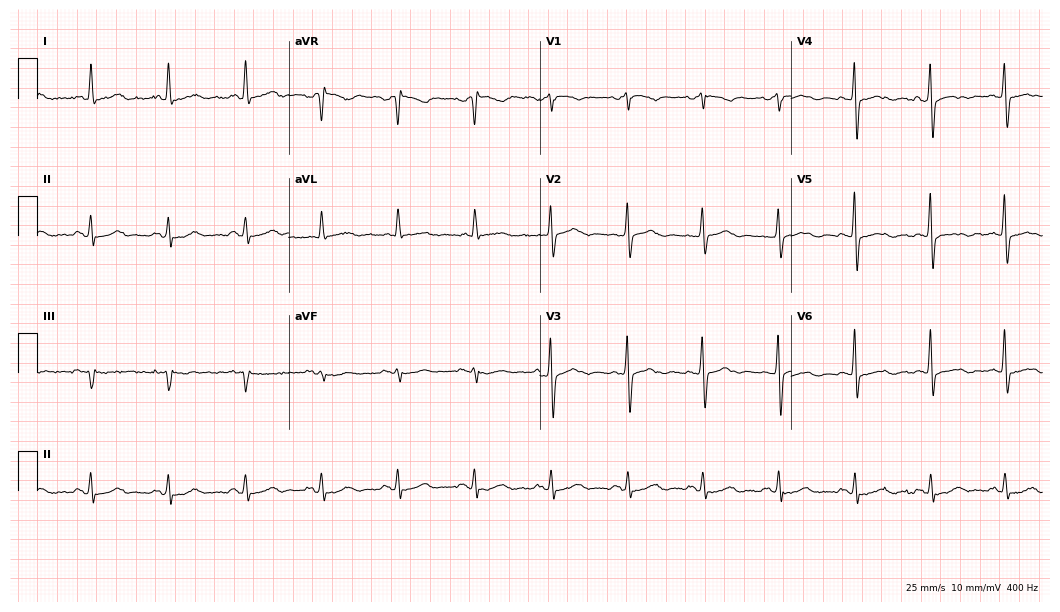
Electrocardiogram (10.2-second recording at 400 Hz), a 72-year-old female. Overall reading on record: normal ECG.